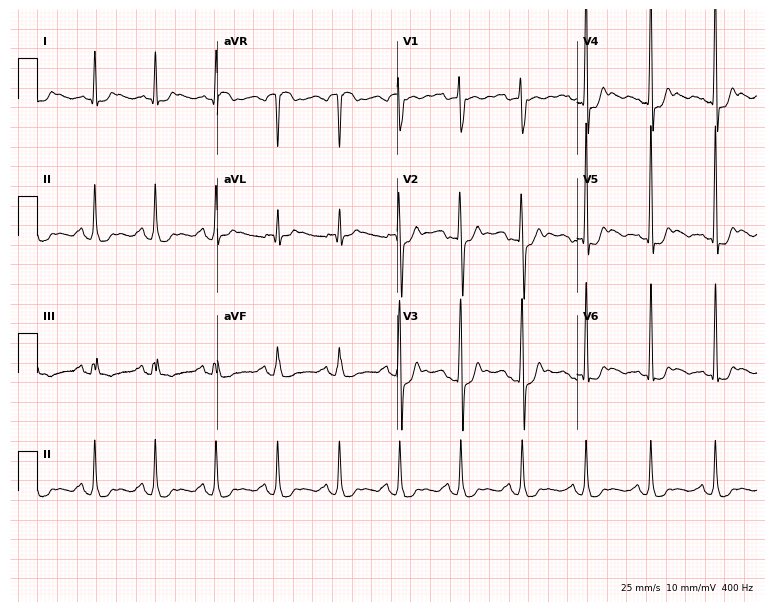
12-lead ECG (7.3-second recording at 400 Hz) from a woman, 45 years old. Screened for six findings — first-degree AV block, right bundle branch block (RBBB), left bundle branch block (LBBB), sinus bradycardia, atrial fibrillation (AF), sinus tachycardia — none is recorded. Only these six findings were labelled.